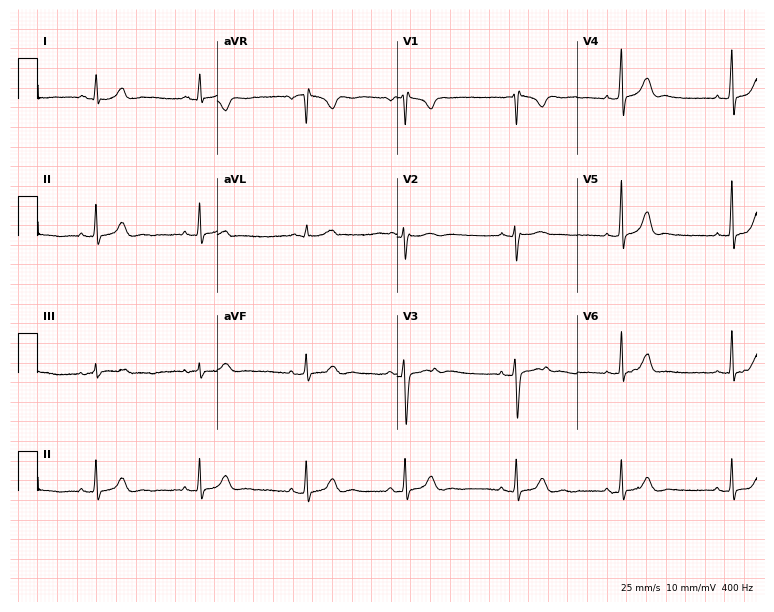
Resting 12-lead electrocardiogram (7.3-second recording at 400 Hz). Patient: a woman, 21 years old. None of these six findings is recorded: first-degree AV block, right bundle branch block (RBBB), left bundle branch block (LBBB), sinus bradycardia, atrial fibrillation (AF), sinus tachycardia. Findings outside these six are not listed.